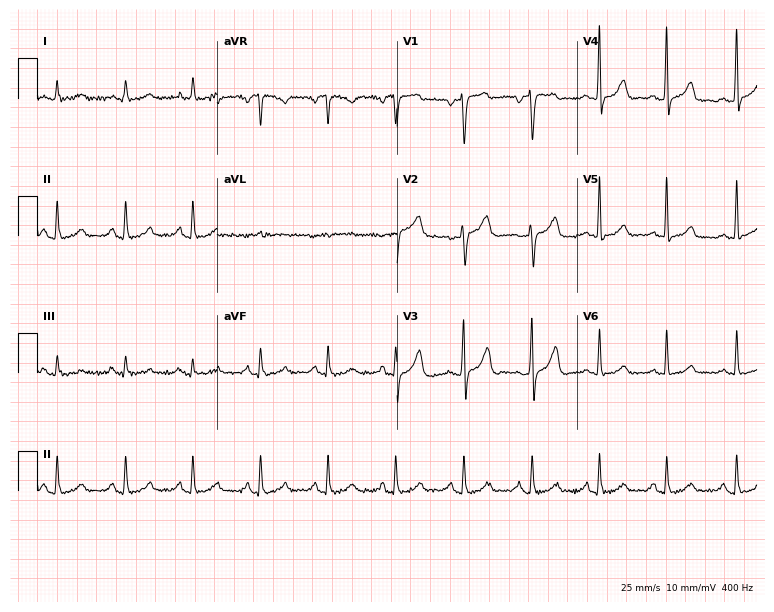
Electrocardiogram, a man, 54 years old. Of the six screened findings (first-degree AV block, right bundle branch block (RBBB), left bundle branch block (LBBB), sinus bradycardia, atrial fibrillation (AF), sinus tachycardia), none is recorded.